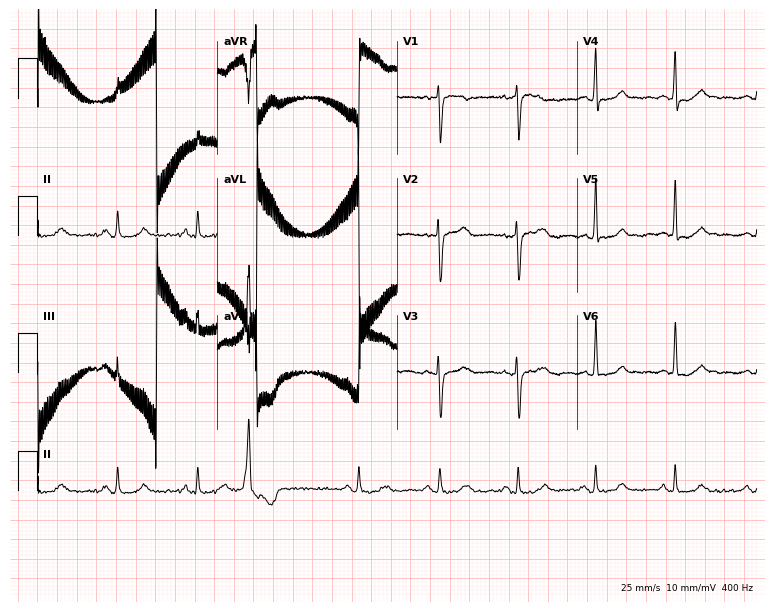
Standard 12-lead ECG recorded from an 83-year-old female patient. None of these six findings is recorded: first-degree AV block, right bundle branch block (RBBB), left bundle branch block (LBBB), sinus bradycardia, atrial fibrillation (AF), sinus tachycardia.